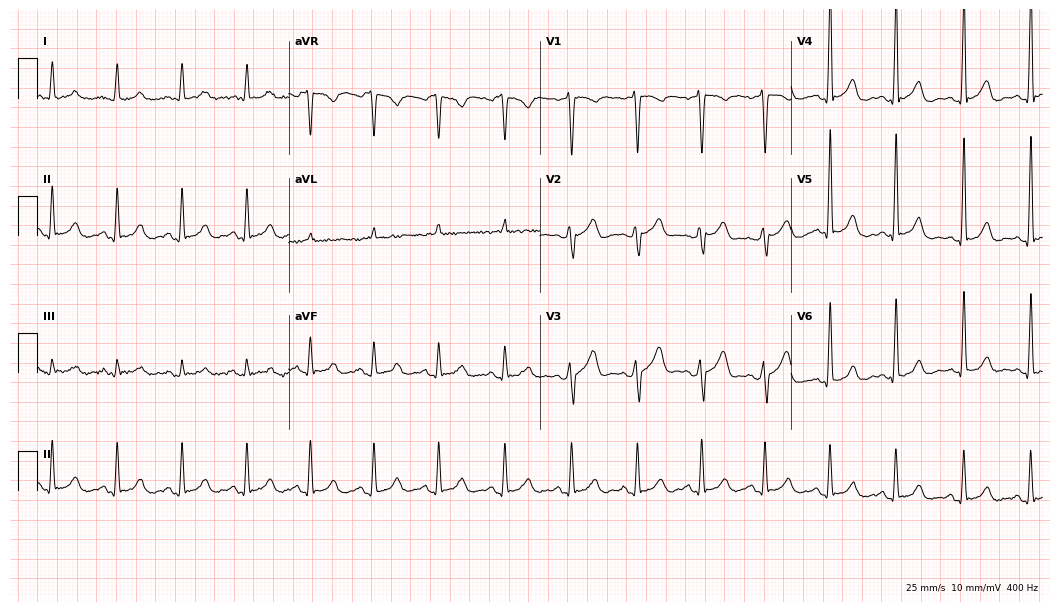
Electrocardiogram (10.2-second recording at 400 Hz), a 45-year-old male. Overall reading on record: normal ECG.